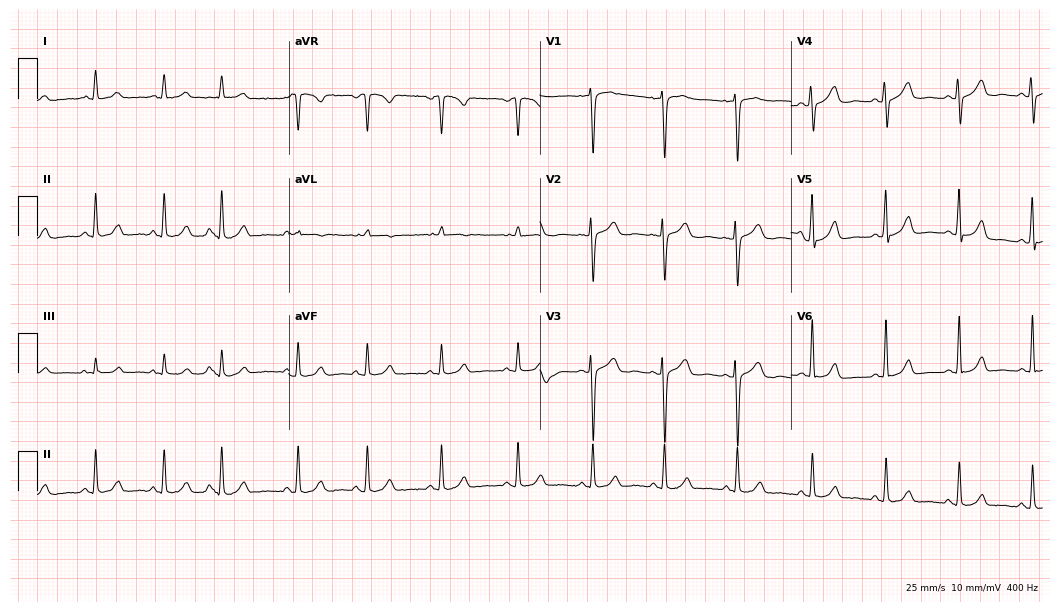
12-lead ECG (10.2-second recording at 400 Hz) from a female, 36 years old. Screened for six findings — first-degree AV block, right bundle branch block, left bundle branch block, sinus bradycardia, atrial fibrillation, sinus tachycardia — none is recorded.